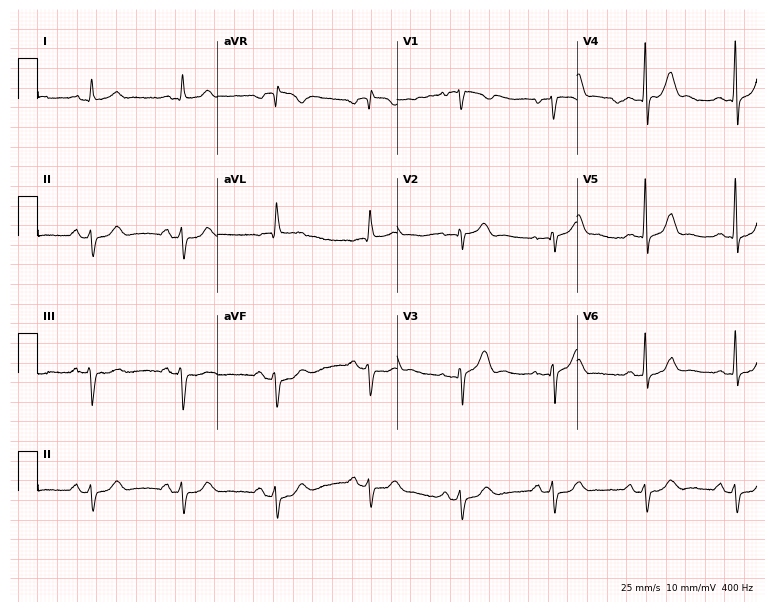
ECG — a 57-year-old man. Screened for six findings — first-degree AV block, right bundle branch block (RBBB), left bundle branch block (LBBB), sinus bradycardia, atrial fibrillation (AF), sinus tachycardia — none is recorded.